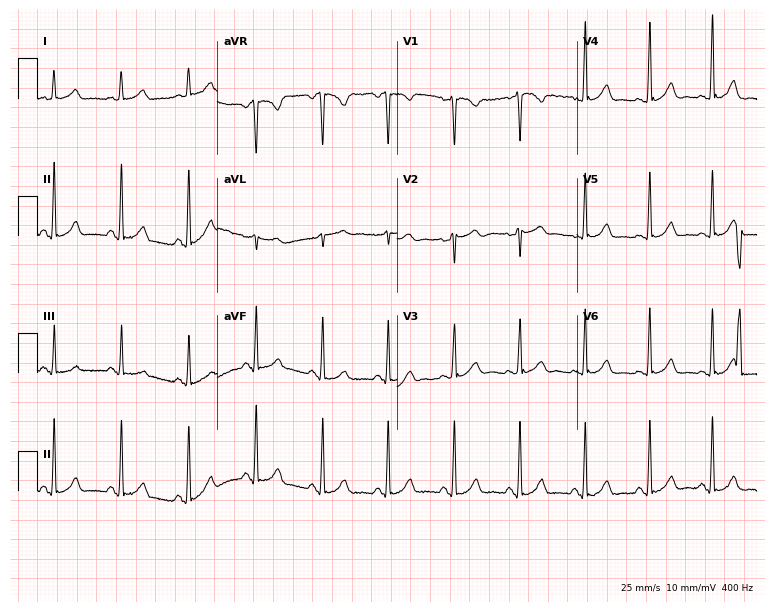
Electrocardiogram, a 33-year-old female patient. Overall reading on record: normal ECG.